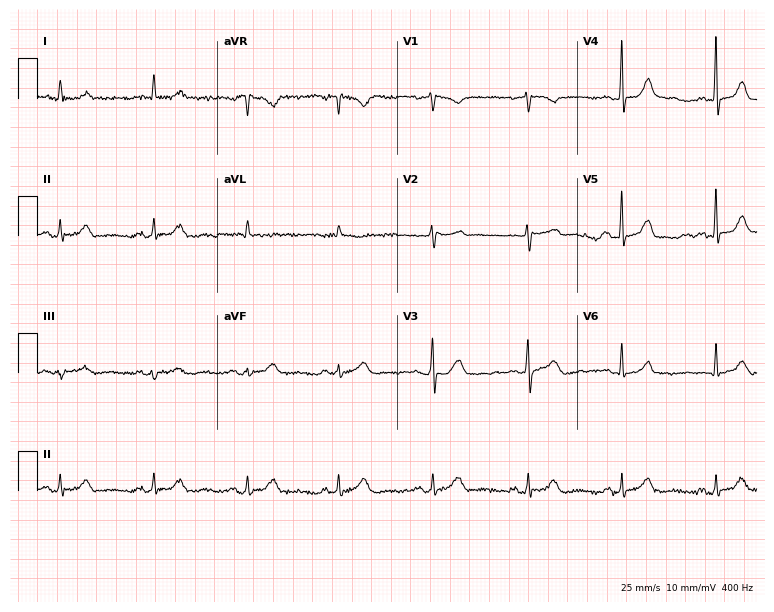
12-lead ECG from a female patient, 77 years old. Labelled as a normal ECG.